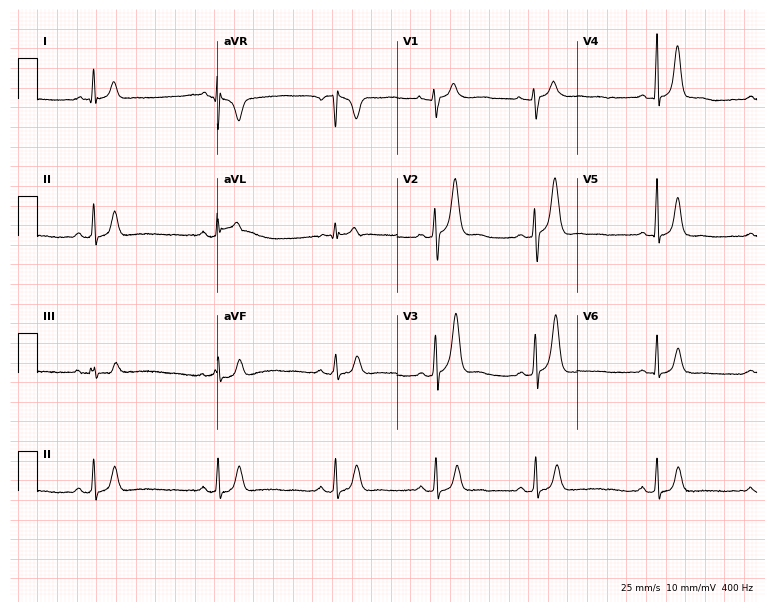
Standard 12-lead ECG recorded from a woman, 31 years old. None of these six findings is recorded: first-degree AV block, right bundle branch block, left bundle branch block, sinus bradycardia, atrial fibrillation, sinus tachycardia. Other findings, if any, are not listed.